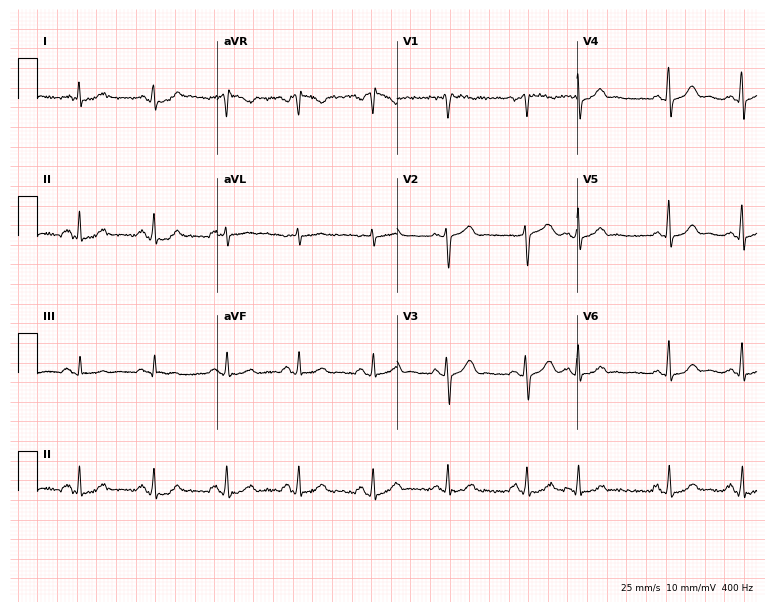
ECG (7.3-second recording at 400 Hz) — a woman, 56 years old. Labelled as a normal ECG.